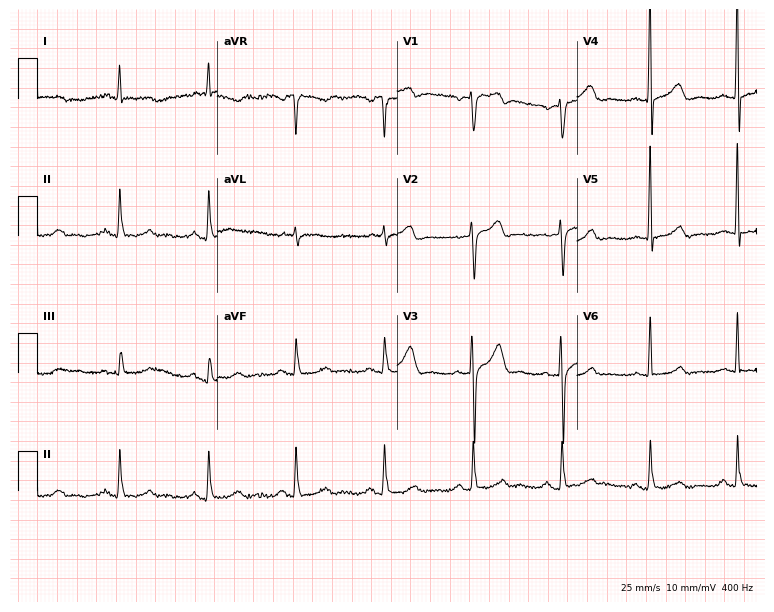
ECG (7.3-second recording at 400 Hz) — a 69-year-old male patient. Screened for six findings — first-degree AV block, right bundle branch block (RBBB), left bundle branch block (LBBB), sinus bradycardia, atrial fibrillation (AF), sinus tachycardia — none is recorded. Only these six findings were labelled.